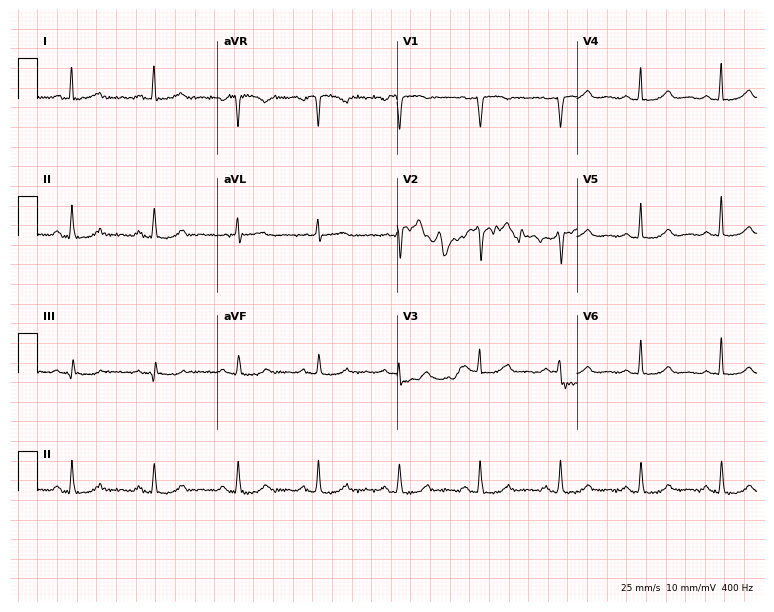
Electrocardiogram (7.3-second recording at 400 Hz), a 49-year-old female patient. Of the six screened findings (first-degree AV block, right bundle branch block (RBBB), left bundle branch block (LBBB), sinus bradycardia, atrial fibrillation (AF), sinus tachycardia), none is recorded. Only these six findings were labelled.